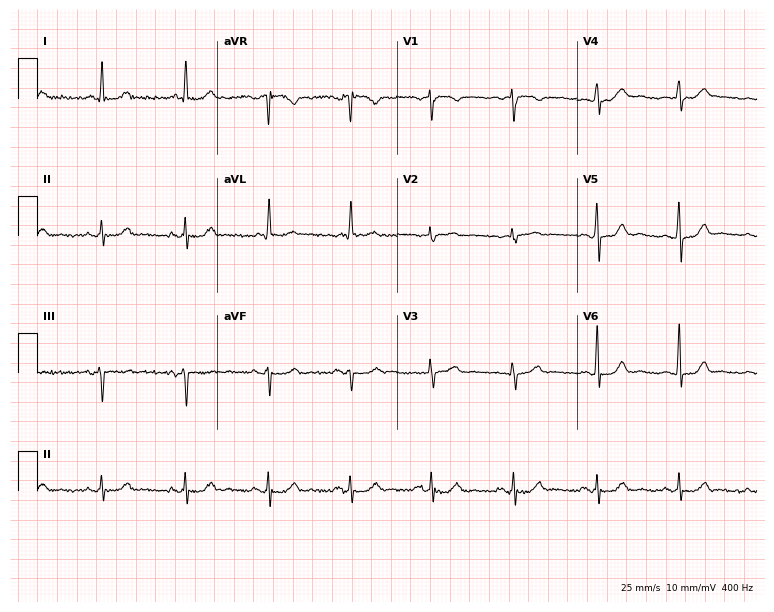
Standard 12-lead ECG recorded from a woman, 67 years old (7.3-second recording at 400 Hz). None of these six findings is recorded: first-degree AV block, right bundle branch block, left bundle branch block, sinus bradycardia, atrial fibrillation, sinus tachycardia.